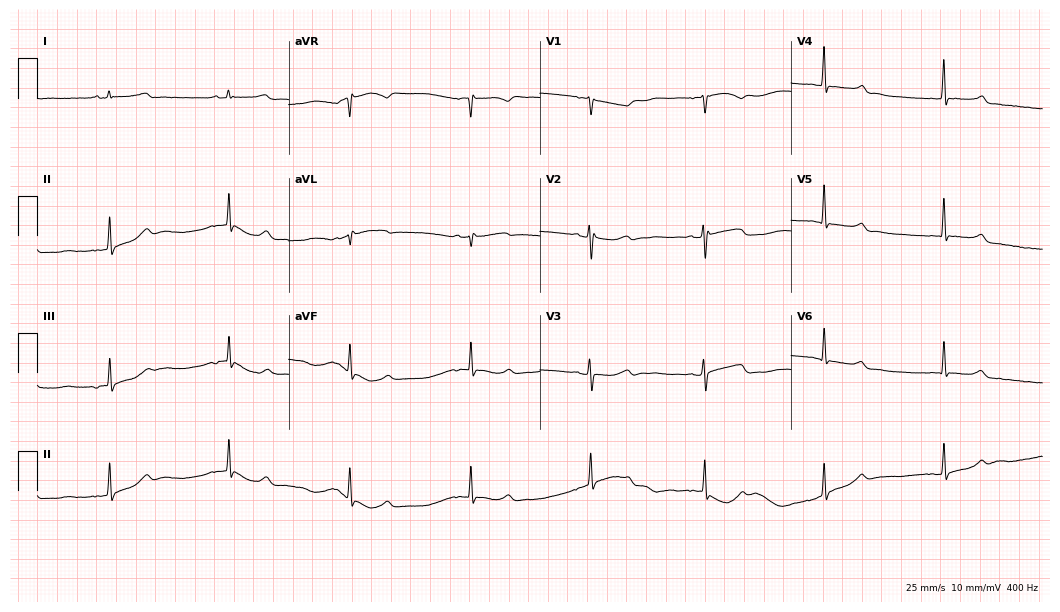
12-lead ECG from a female patient, 30 years old. No first-degree AV block, right bundle branch block (RBBB), left bundle branch block (LBBB), sinus bradycardia, atrial fibrillation (AF) or sinus tachycardia recorded for this tracing.